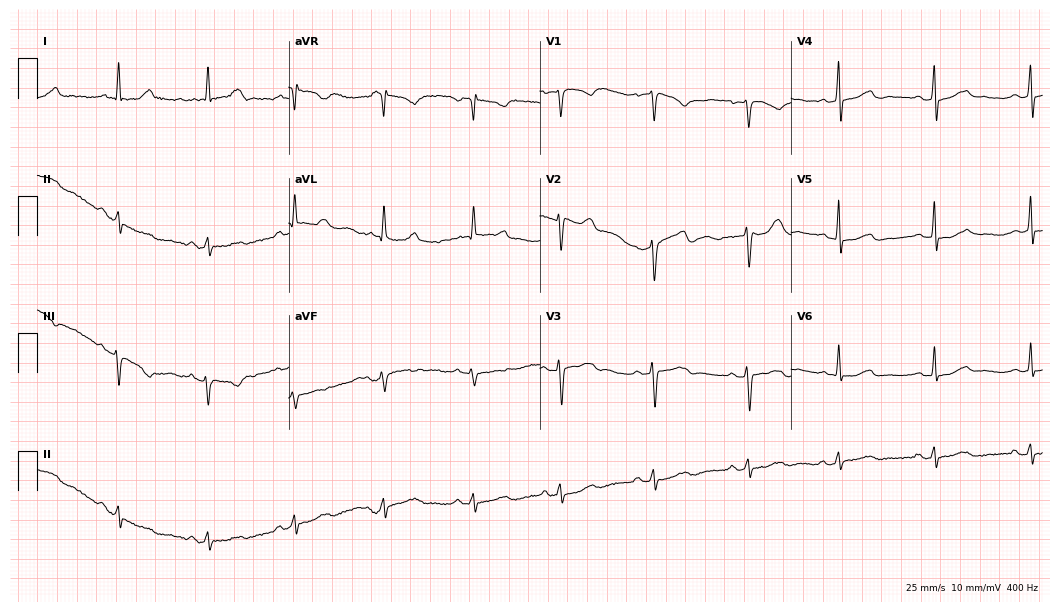
Standard 12-lead ECG recorded from a female, 43 years old (10.2-second recording at 400 Hz). None of these six findings is recorded: first-degree AV block, right bundle branch block, left bundle branch block, sinus bradycardia, atrial fibrillation, sinus tachycardia.